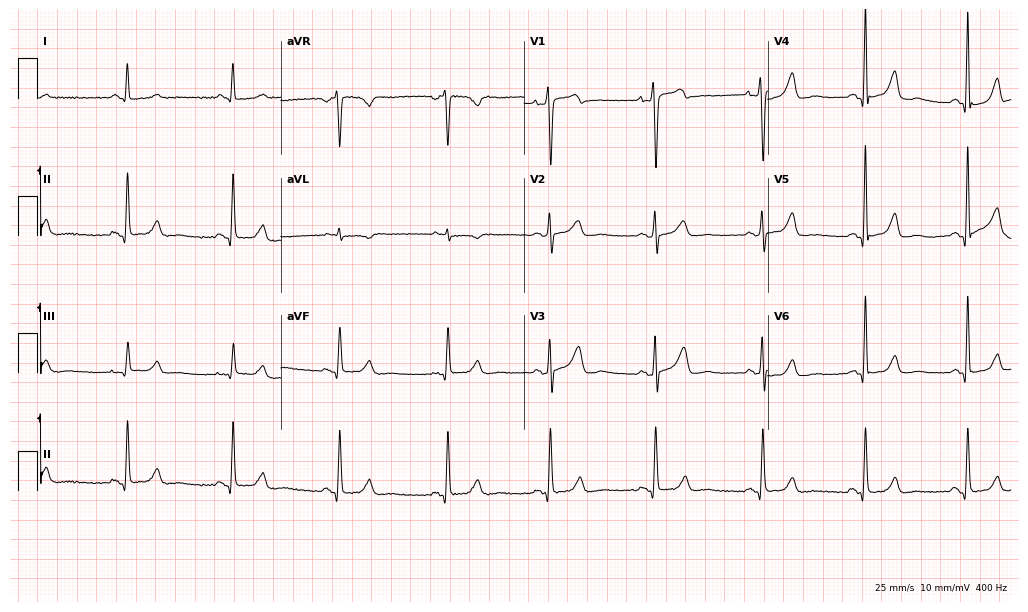
Electrocardiogram (9.9-second recording at 400 Hz), a female patient, 33 years old. Of the six screened findings (first-degree AV block, right bundle branch block, left bundle branch block, sinus bradycardia, atrial fibrillation, sinus tachycardia), none is recorded. Other findings, if any, are not listed.